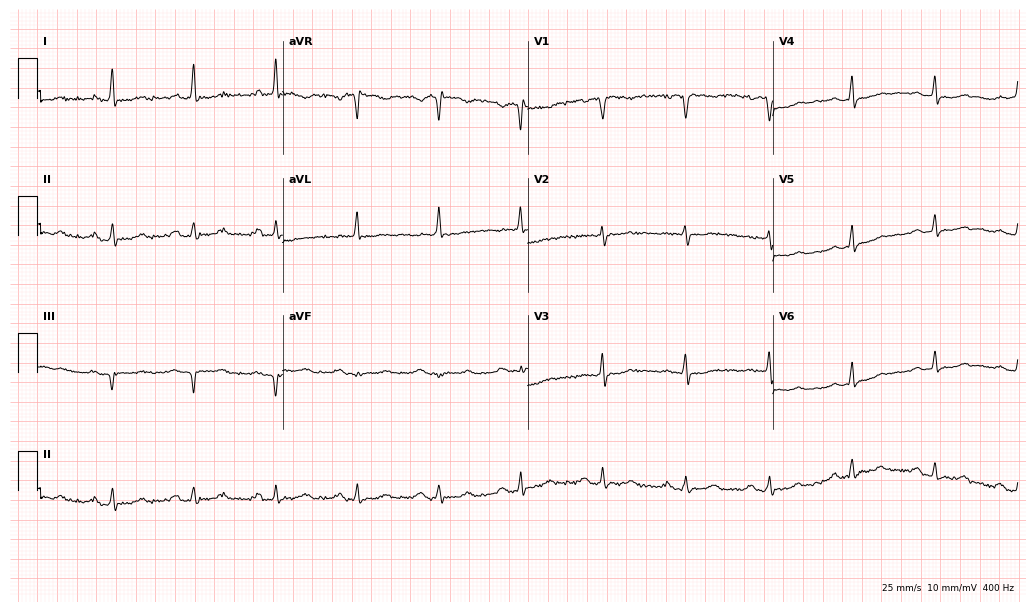
Standard 12-lead ECG recorded from a 61-year-old female. Read as a normal ECG.